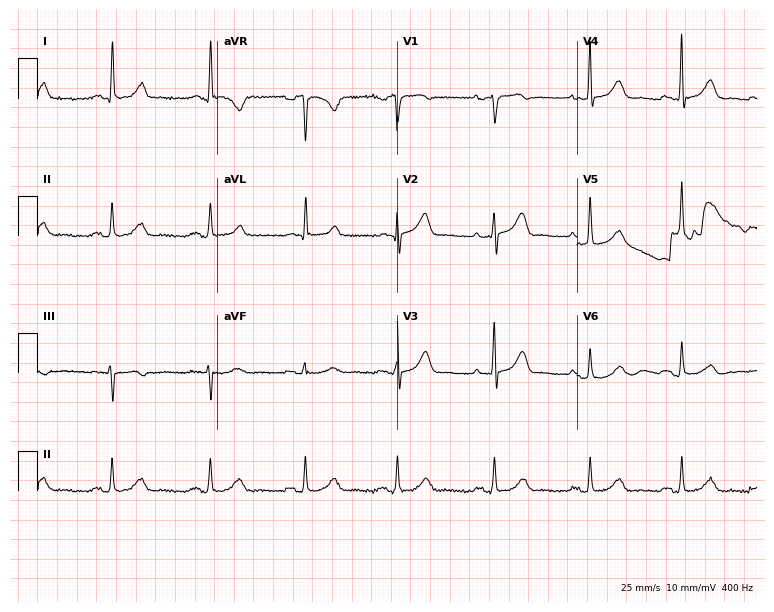
12-lead ECG from a female patient, 59 years old. Labelled as a normal ECG.